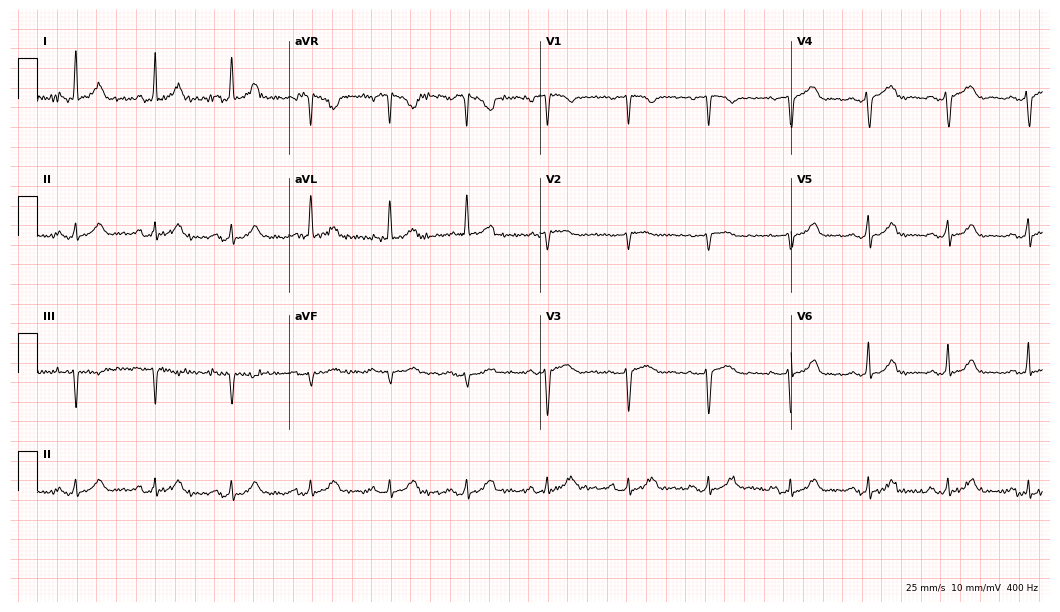
12-lead ECG from a 27-year-old female patient (10.2-second recording at 400 Hz). No first-degree AV block, right bundle branch block (RBBB), left bundle branch block (LBBB), sinus bradycardia, atrial fibrillation (AF) or sinus tachycardia recorded for this tracing. Only these six findings were labelled.